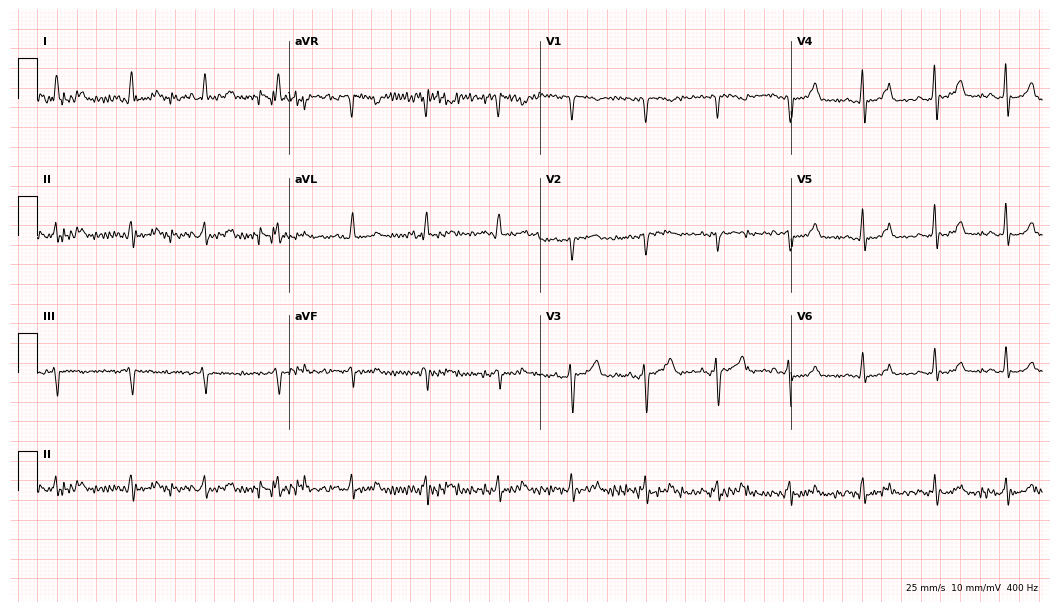
Standard 12-lead ECG recorded from a 46-year-old woman. None of these six findings is recorded: first-degree AV block, right bundle branch block, left bundle branch block, sinus bradycardia, atrial fibrillation, sinus tachycardia. Findings outside these six are not listed.